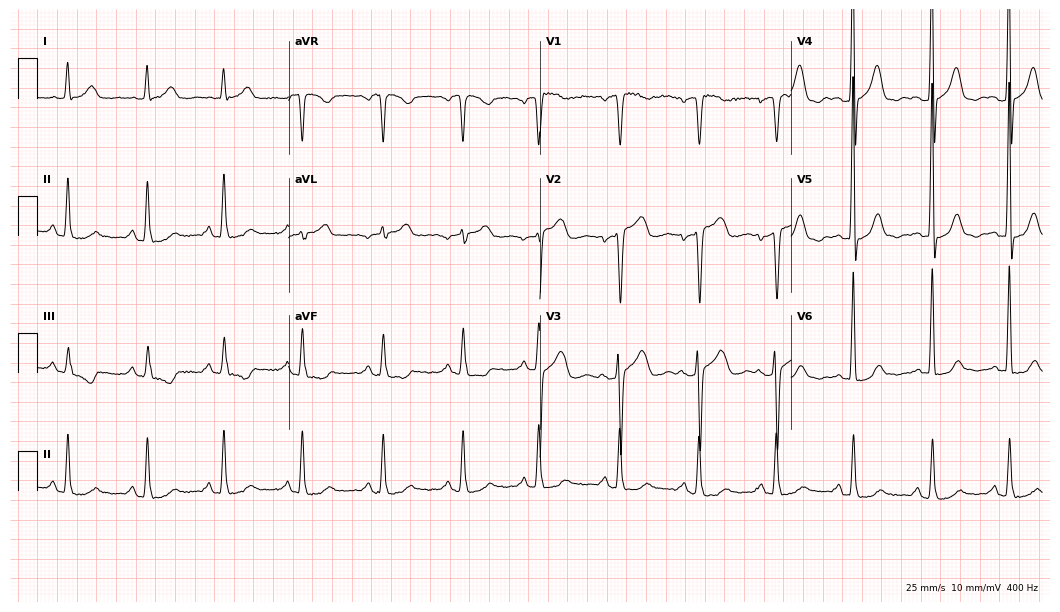
12-lead ECG (10.2-second recording at 400 Hz) from a female patient, 81 years old. Screened for six findings — first-degree AV block, right bundle branch block (RBBB), left bundle branch block (LBBB), sinus bradycardia, atrial fibrillation (AF), sinus tachycardia — none is recorded.